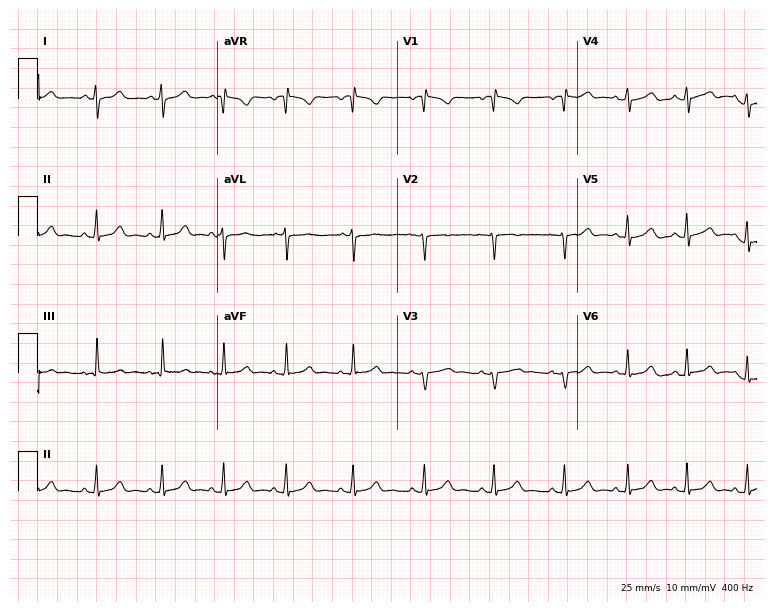
Electrocardiogram (7.3-second recording at 400 Hz), a 17-year-old female patient. Of the six screened findings (first-degree AV block, right bundle branch block (RBBB), left bundle branch block (LBBB), sinus bradycardia, atrial fibrillation (AF), sinus tachycardia), none is recorded. Only these six findings were labelled.